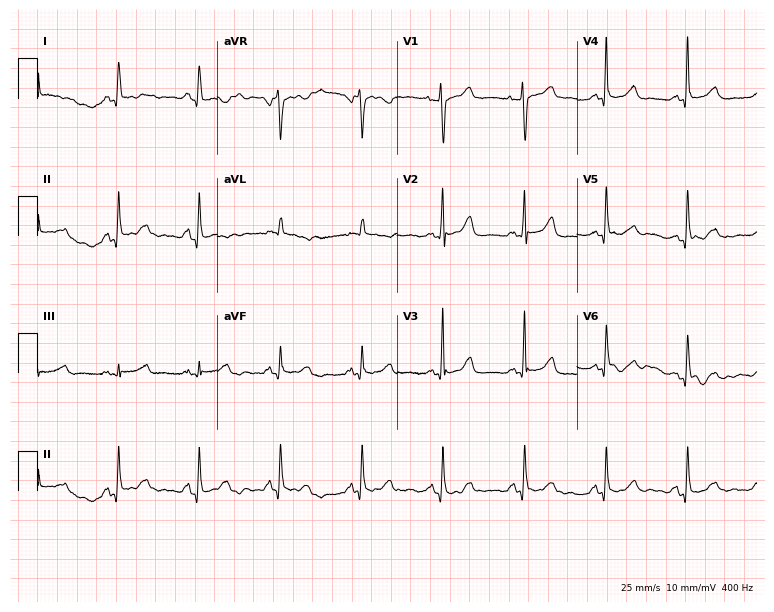
12-lead ECG from a female, 85 years old (7.3-second recording at 400 Hz). Recorded interpretation: within normal limits.